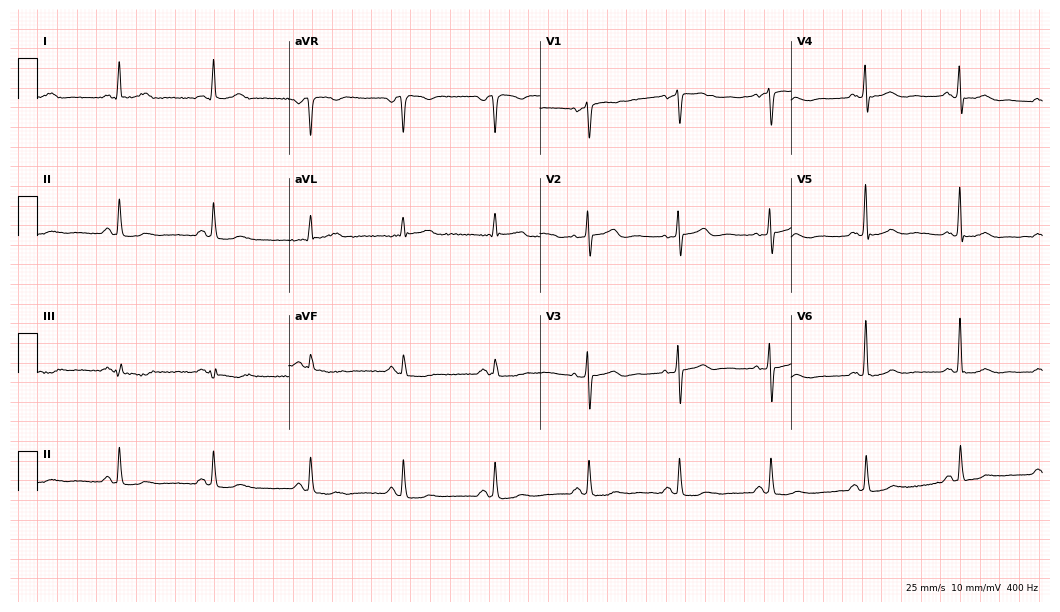
12-lead ECG from a 71-year-old woman. Labelled as a normal ECG.